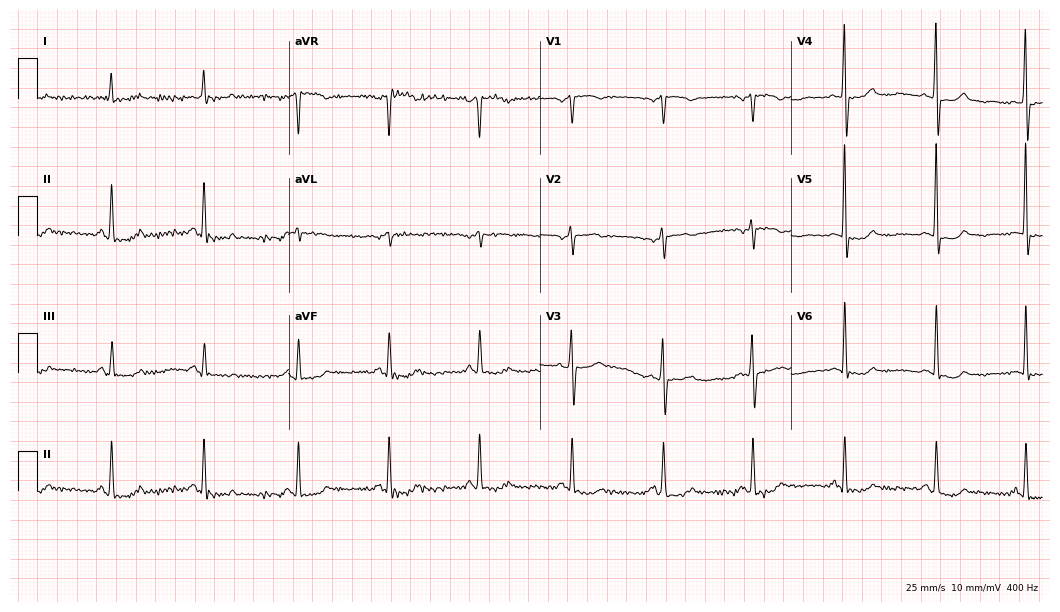
Electrocardiogram, a female, 74 years old. Of the six screened findings (first-degree AV block, right bundle branch block, left bundle branch block, sinus bradycardia, atrial fibrillation, sinus tachycardia), none is recorded.